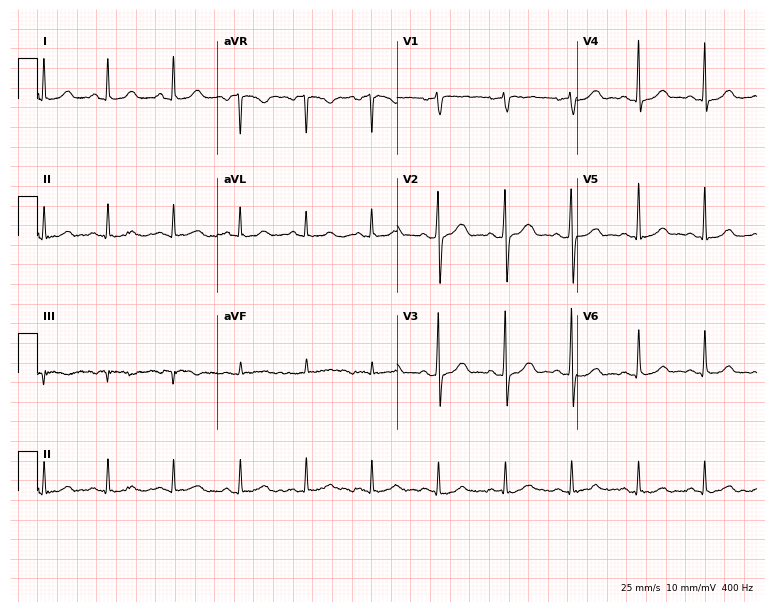
Resting 12-lead electrocardiogram. Patient: a 40-year-old woman. Read as a normal ECG.